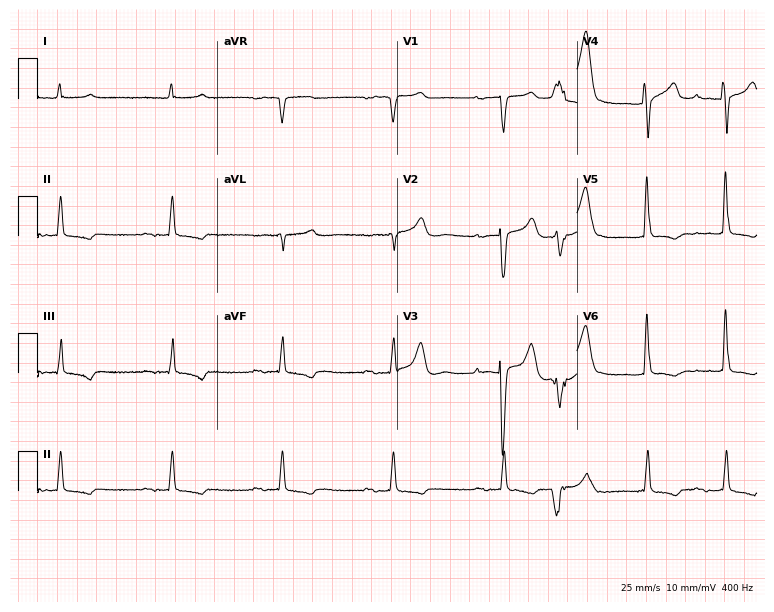
12-lead ECG (7.3-second recording at 400 Hz) from a 61-year-old man. Findings include first-degree AV block.